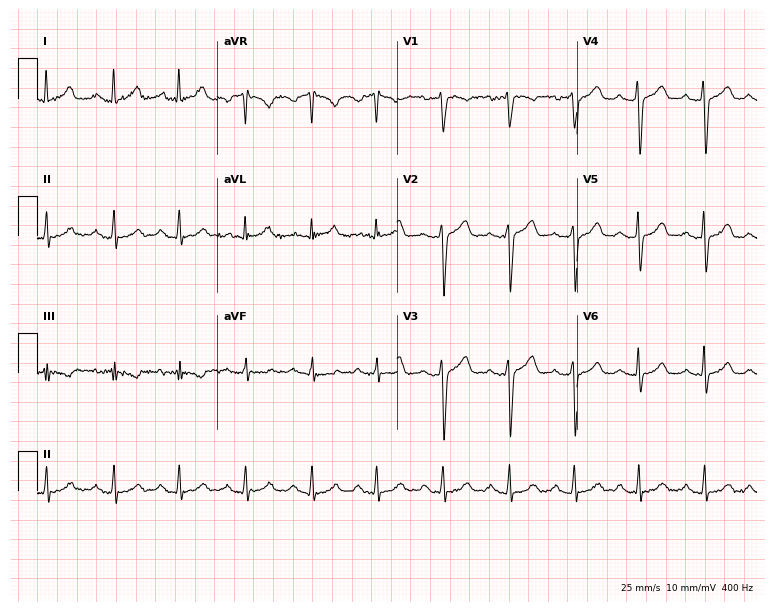
Standard 12-lead ECG recorded from a woman, 43 years old (7.3-second recording at 400 Hz). Read as a normal ECG.